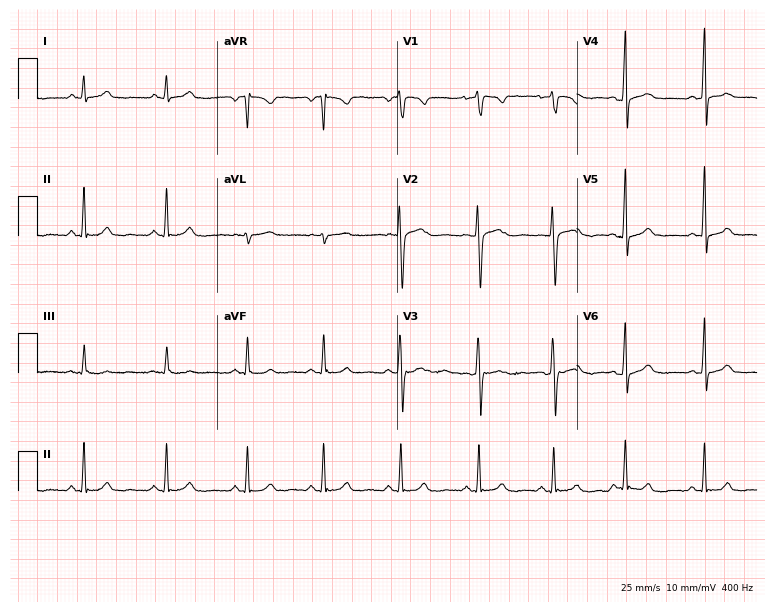
Standard 12-lead ECG recorded from a 25-year-old female patient. Read as a normal ECG.